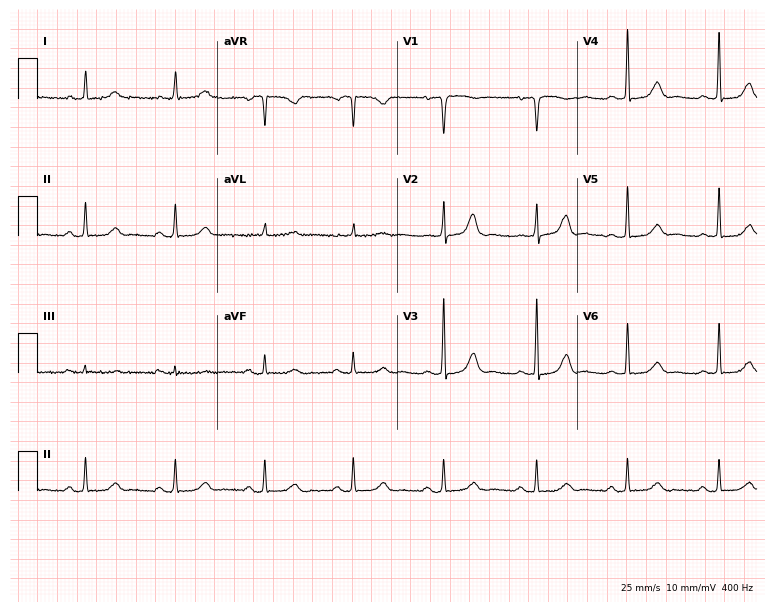
Electrocardiogram (7.3-second recording at 400 Hz), a female, 80 years old. Of the six screened findings (first-degree AV block, right bundle branch block (RBBB), left bundle branch block (LBBB), sinus bradycardia, atrial fibrillation (AF), sinus tachycardia), none is recorded. Findings outside these six are not listed.